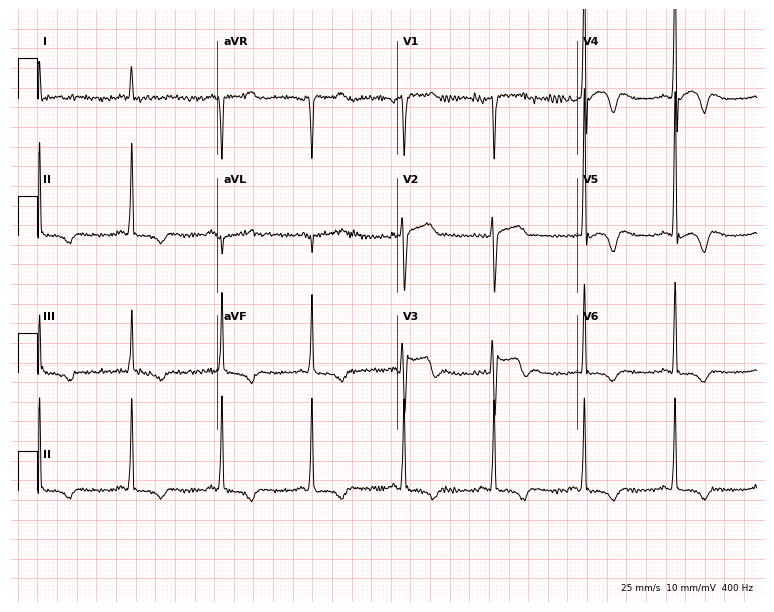
Standard 12-lead ECG recorded from a 32-year-old male. None of these six findings is recorded: first-degree AV block, right bundle branch block (RBBB), left bundle branch block (LBBB), sinus bradycardia, atrial fibrillation (AF), sinus tachycardia.